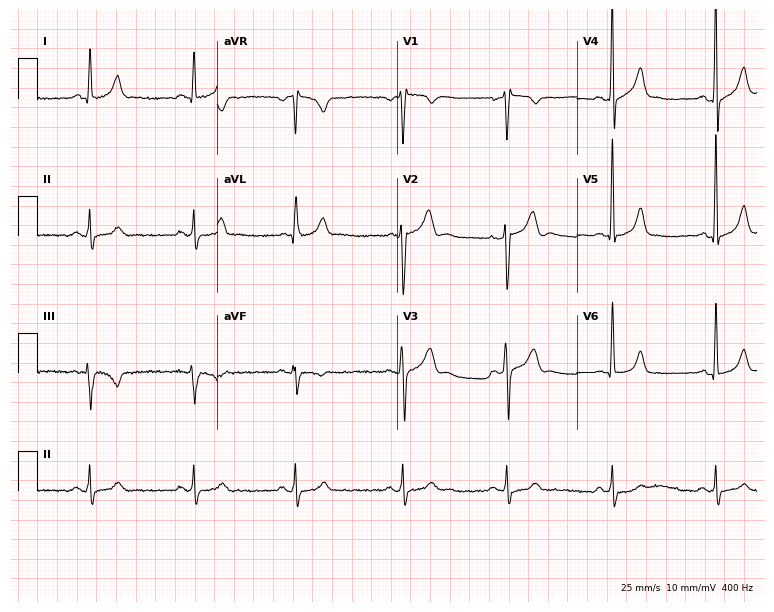
12-lead ECG from a 35-year-old man. Screened for six findings — first-degree AV block, right bundle branch block, left bundle branch block, sinus bradycardia, atrial fibrillation, sinus tachycardia — none is recorded.